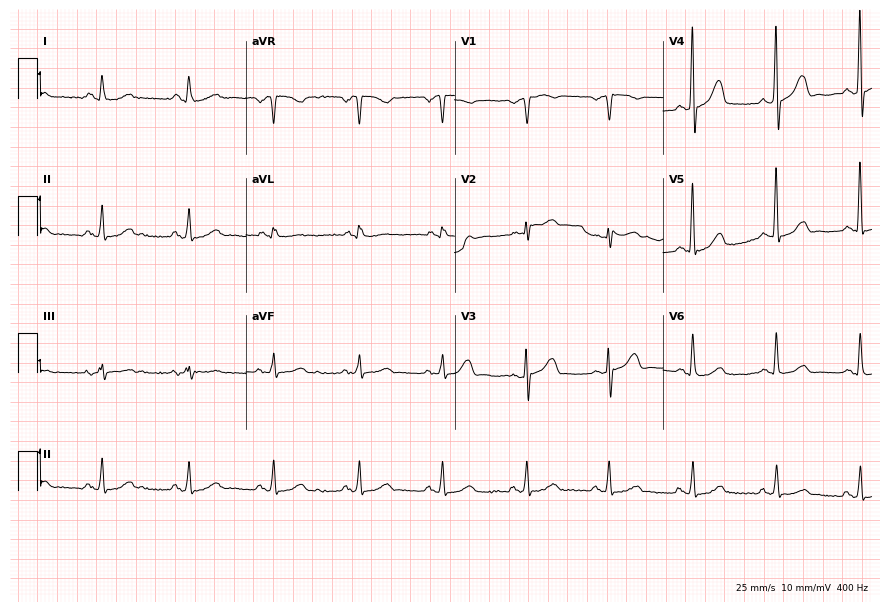
Standard 12-lead ECG recorded from a 55-year-old male patient. Read as a normal ECG.